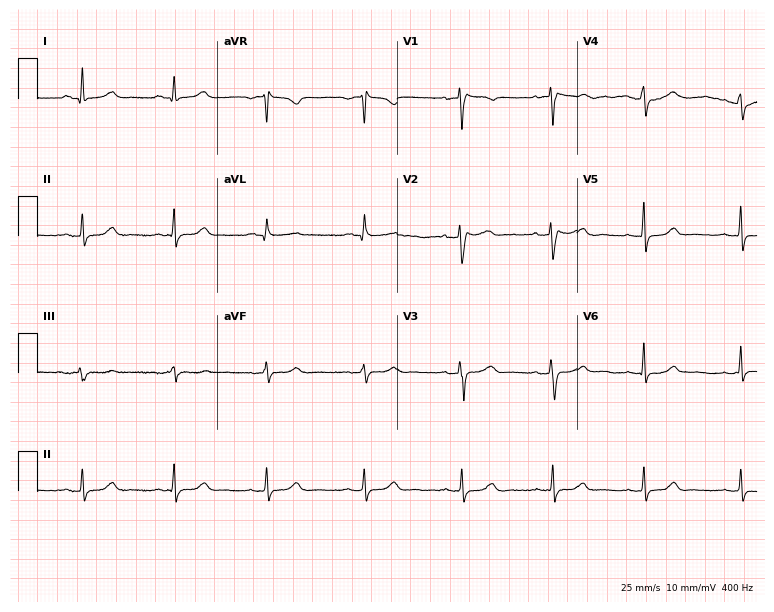
12-lead ECG (7.3-second recording at 400 Hz) from a female patient, 50 years old. Labelled as a normal ECG.